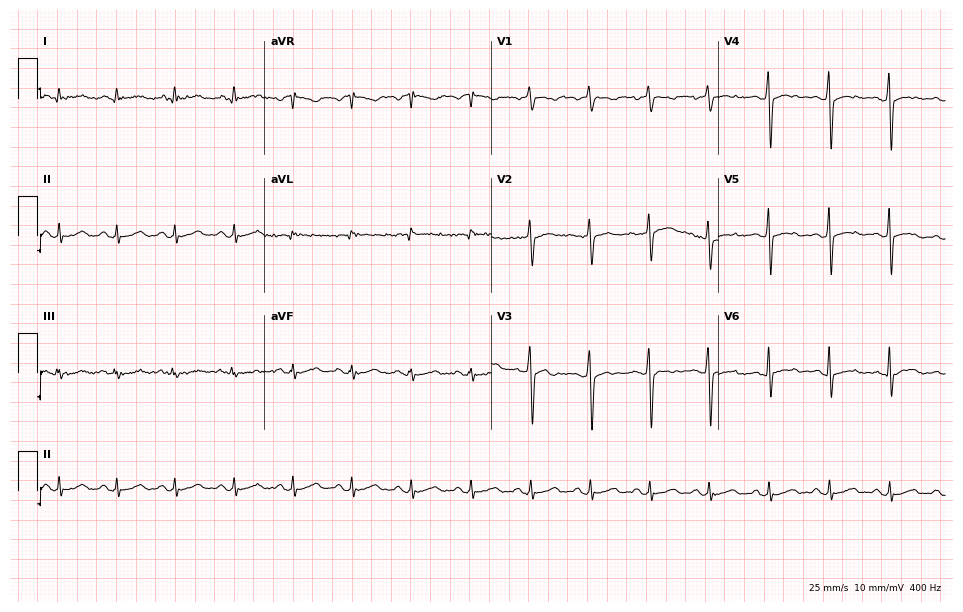
12-lead ECG from a 54-year-old man. Screened for six findings — first-degree AV block, right bundle branch block, left bundle branch block, sinus bradycardia, atrial fibrillation, sinus tachycardia — none is recorded.